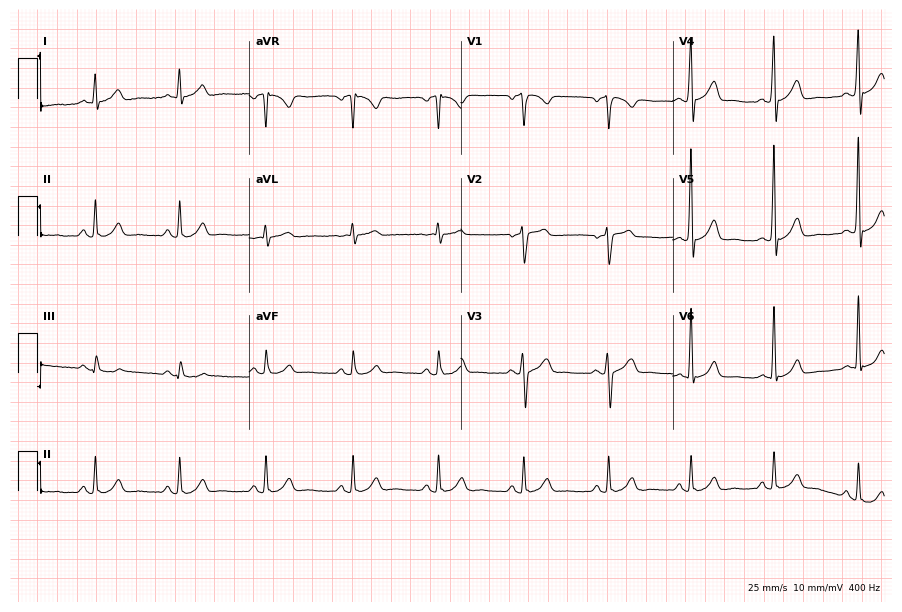
12-lead ECG from a male patient, 42 years old. No first-degree AV block, right bundle branch block (RBBB), left bundle branch block (LBBB), sinus bradycardia, atrial fibrillation (AF) or sinus tachycardia recorded for this tracing. Other findings, if any, are not listed.